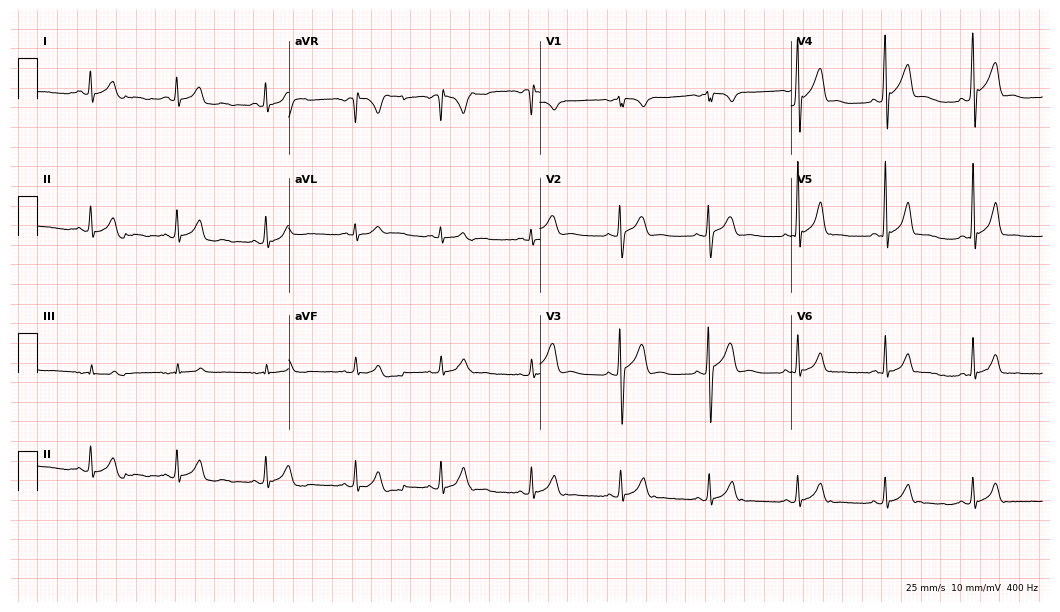
ECG — a man, 20 years old. Screened for six findings — first-degree AV block, right bundle branch block, left bundle branch block, sinus bradycardia, atrial fibrillation, sinus tachycardia — none is recorded.